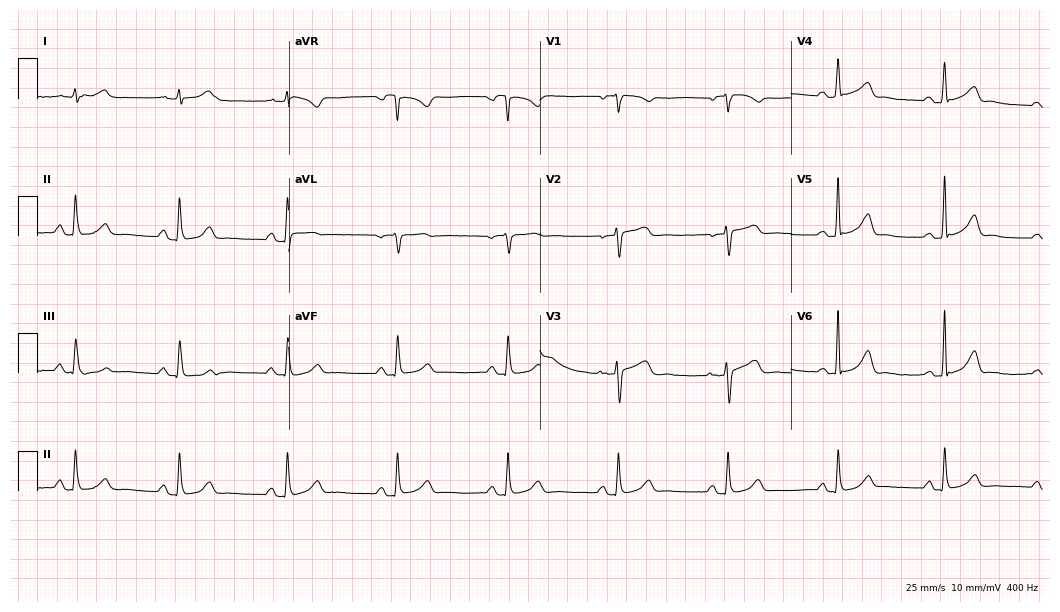
Standard 12-lead ECG recorded from a female, 49 years old. Read as a normal ECG.